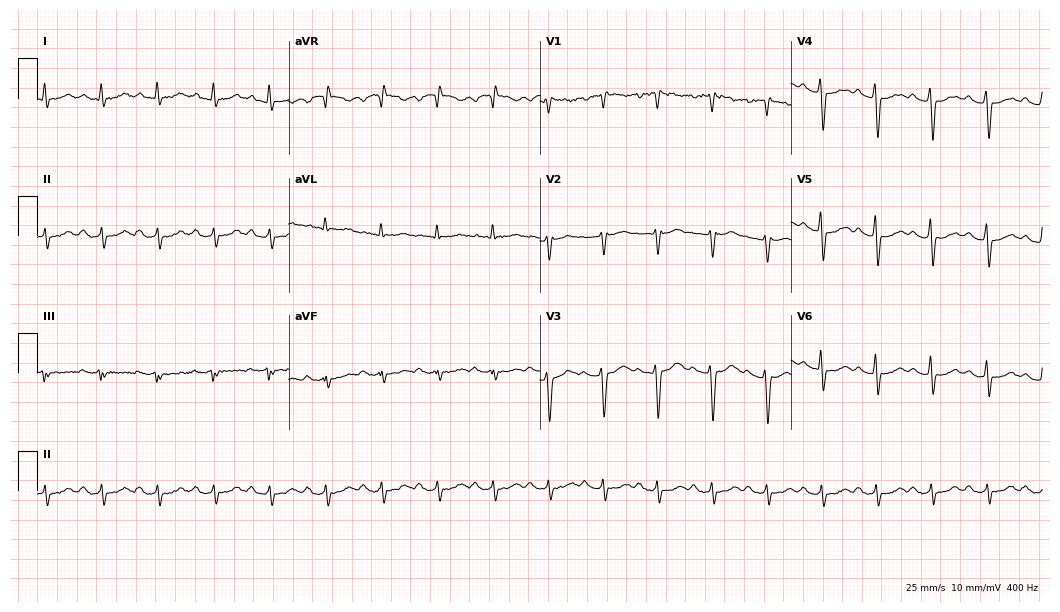
12-lead ECG (10.2-second recording at 400 Hz) from a 45-year-old female. Findings include sinus tachycardia (a sinus rate of 100 beats per minute or more).